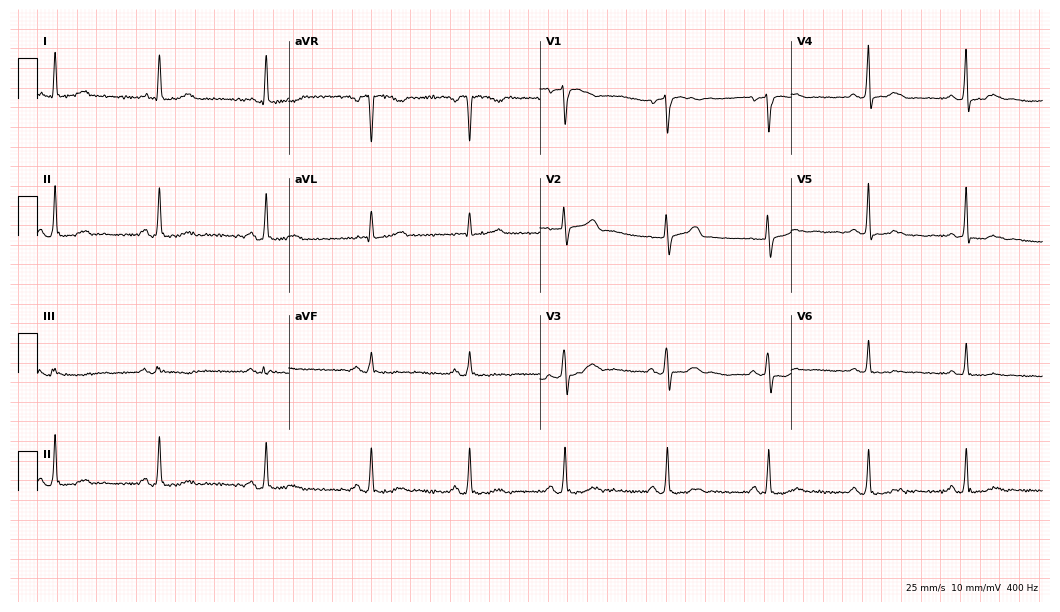
12-lead ECG from a 64-year-old female patient. No first-degree AV block, right bundle branch block, left bundle branch block, sinus bradycardia, atrial fibrillation or sinus tachycardia recorded for this tracing.